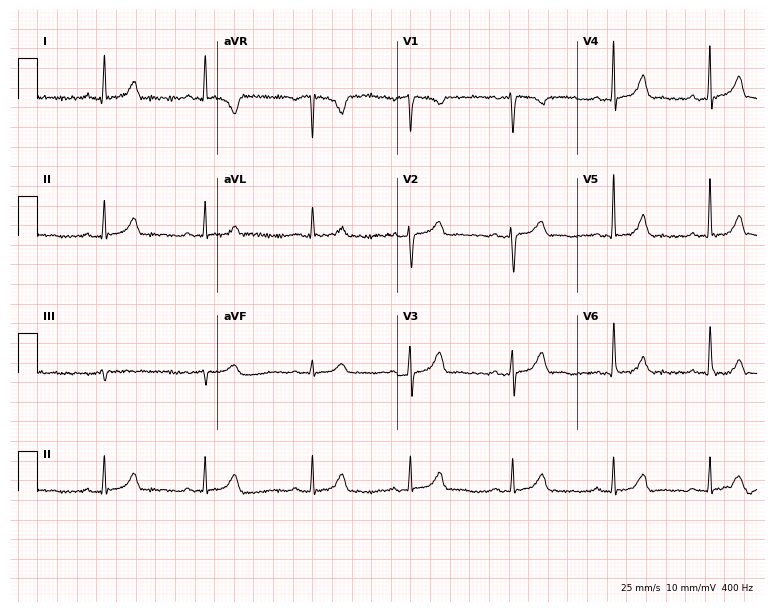
12-lead ECG from a 49-year-old female. Recorded interpretation: within normal limits.